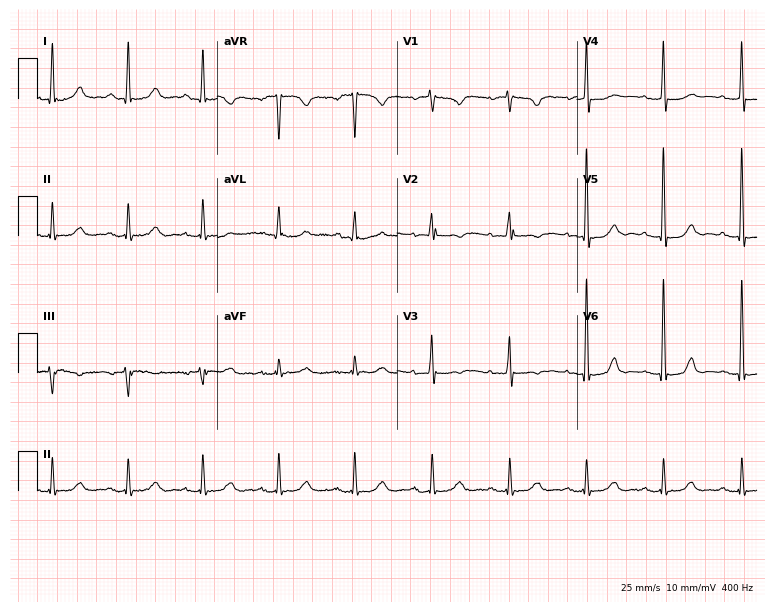
12-lead ECG from a 67-year-old woman. No first-degree AV block, right bundle branch block, left bundle branch block, sinus bradycardia, atrial fibrillation or sinus tachycardia recorded for this tracing.